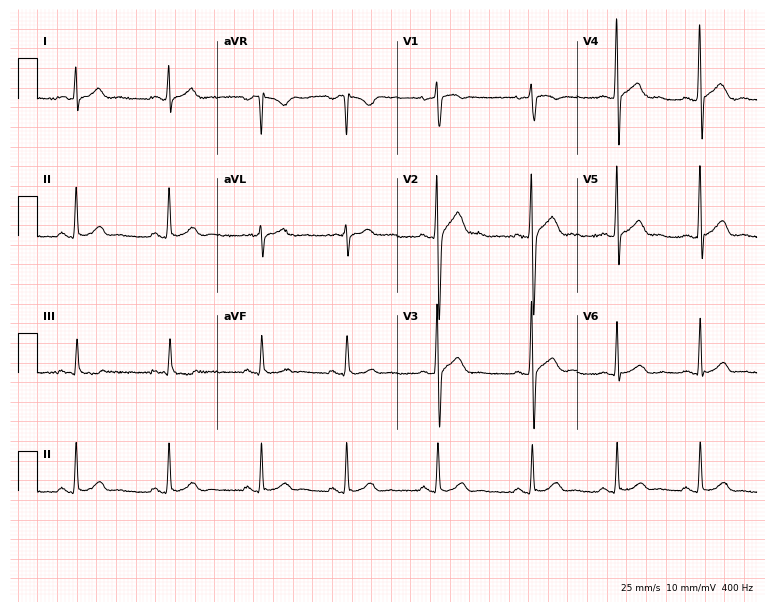
Resting 12-lead electrocardiogram (7.3-second recording at 400 Hz). Patient: a man, 21 years old. Read as a normal ECG.